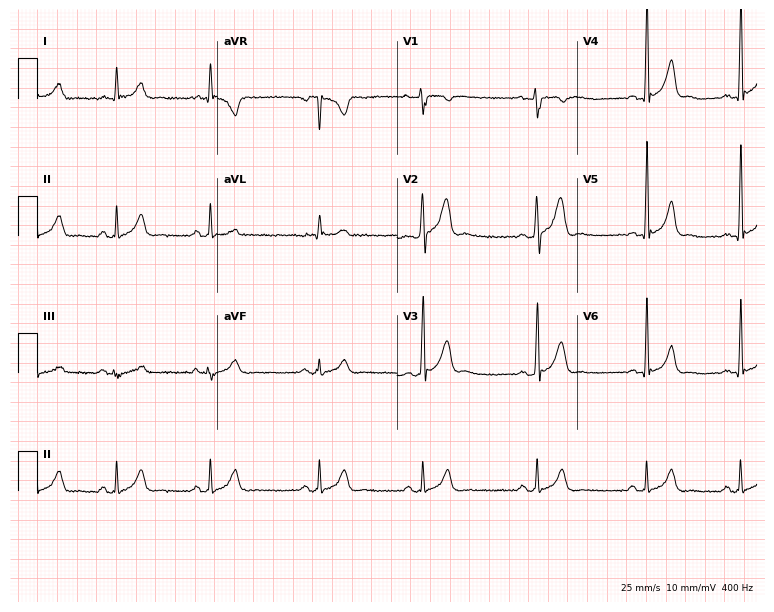
Standard 12-lead ECG recorded from a man, 25 years old. None of these six findings is recorded: first-degree AV block, right bundle branch block (RBBB), left bundle branch block (LBBB), sinus bradycardia, atrial fibrillation (AF), sinus tachycardia. Other findings, if any, are not listed.